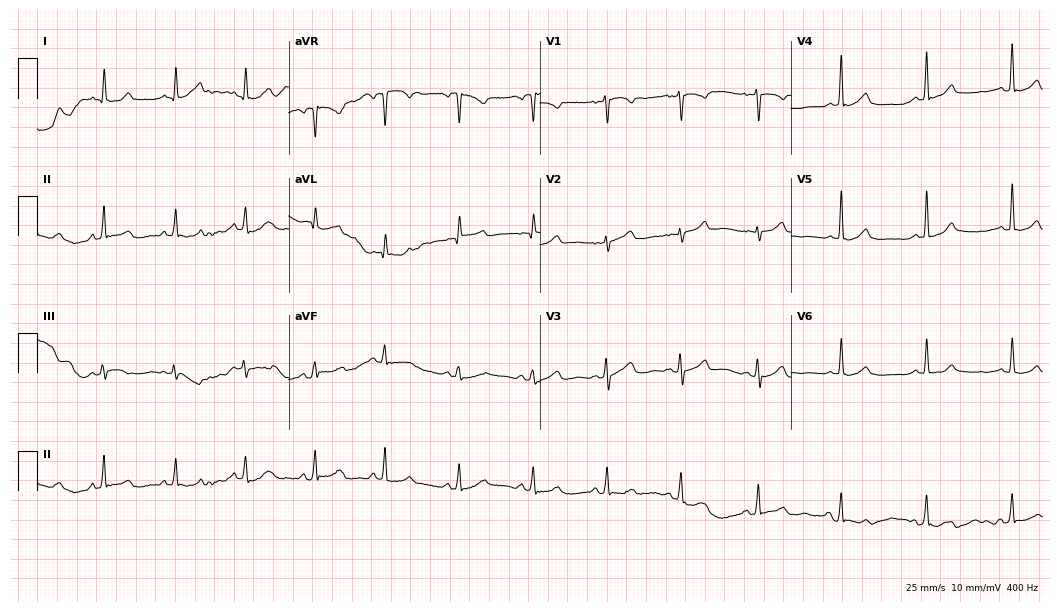
Electrocardiogram (10.2-second recording at 400 Hz), a woman, 44 years old. Overall reading on record: normal ECG.